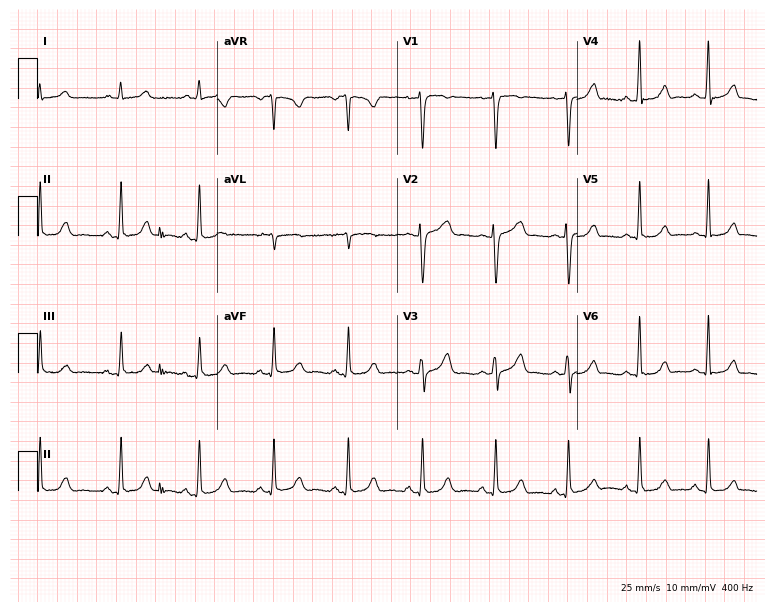
Resting 12-lead electrocardiogram. Patient: a 34-year-old female. Read as a normal ECG.